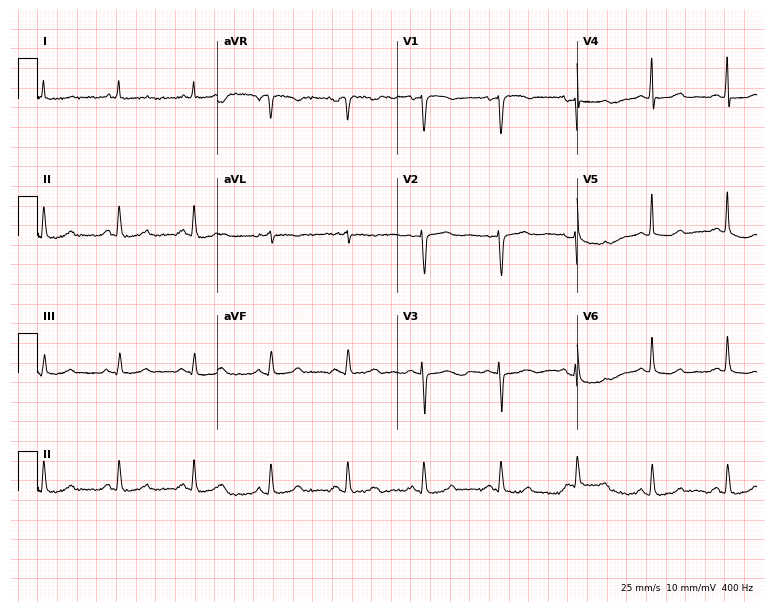
12-lead ECG from a 47-year-old female patient (7.3-second recording at 400 Hz). No first-degree AV block, right bundle branch block, left bundle branch block, sinus bradycardia, atrial fibrillation or sinus tachycardia recorded for this tracing. Findings outside these six are not listed.